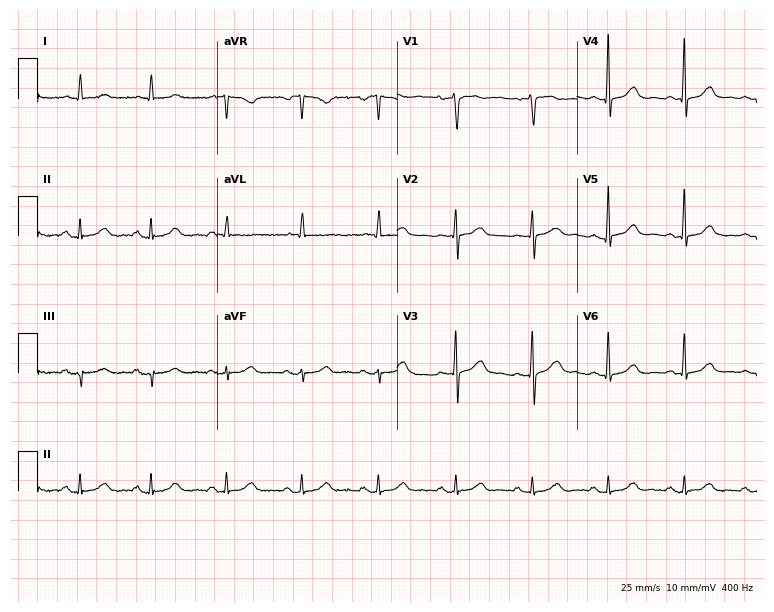
Resting 12-lead electrocardiogram. Patient: a 72-year-old female. Read as a normal ECG.